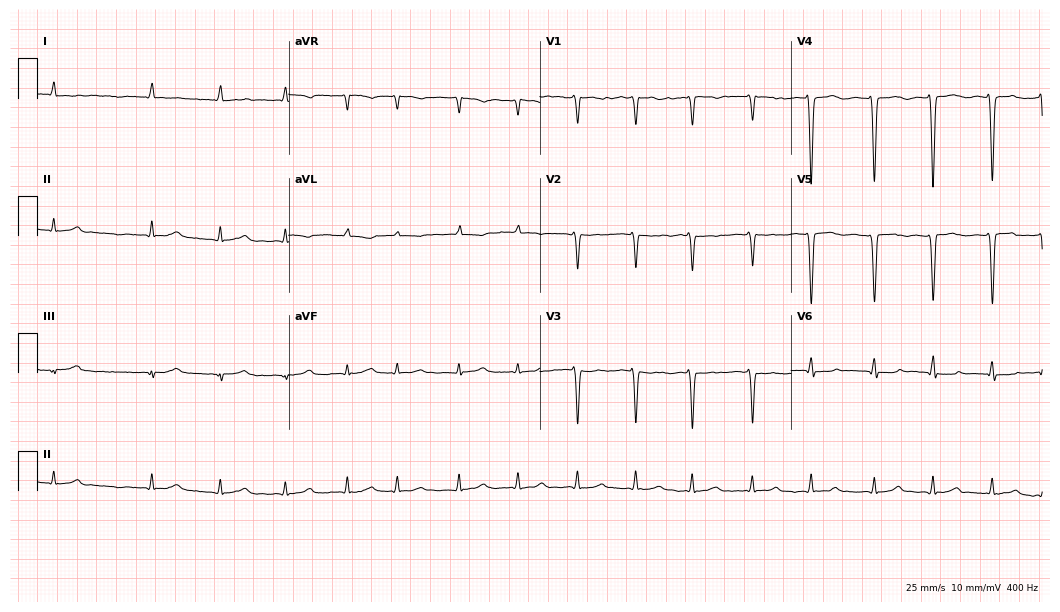
12-lead ECG (10.2-second recording at 400 Hz) from a 53-year-old male patient. Findings include atrial fibrillation.